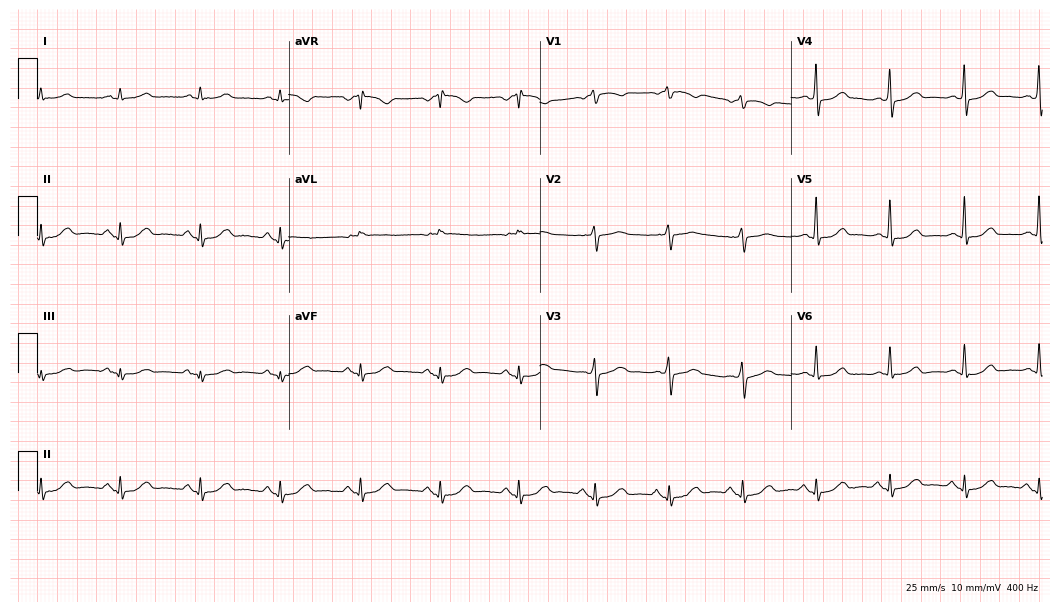
Electrocardiogram, a 74-year-old man. Of the six screened findings (first-degree AV block, right bundle branch block, left bundle branch block, sinus bradycardia, atrial fibrillation, sinus tachycardia), none is recorded.